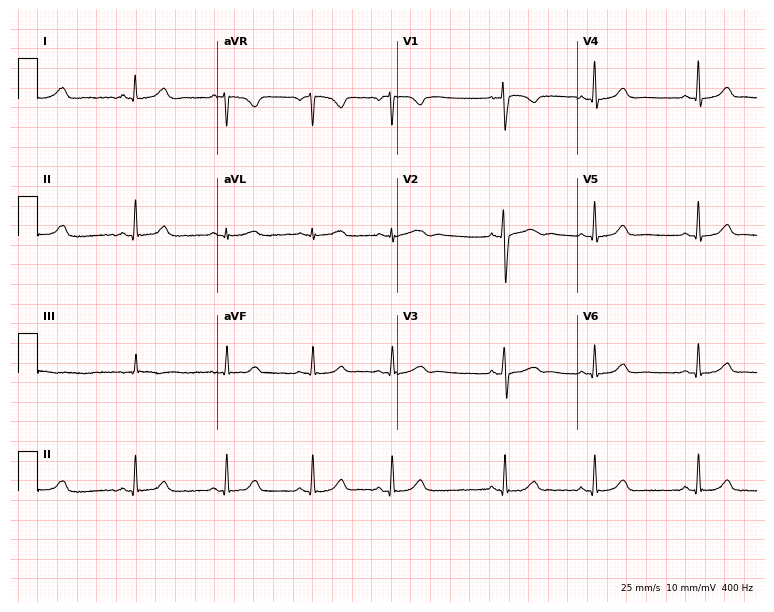
12-lead ECG from a 34-year-old woman. Recorded interpretation: within normal limits.